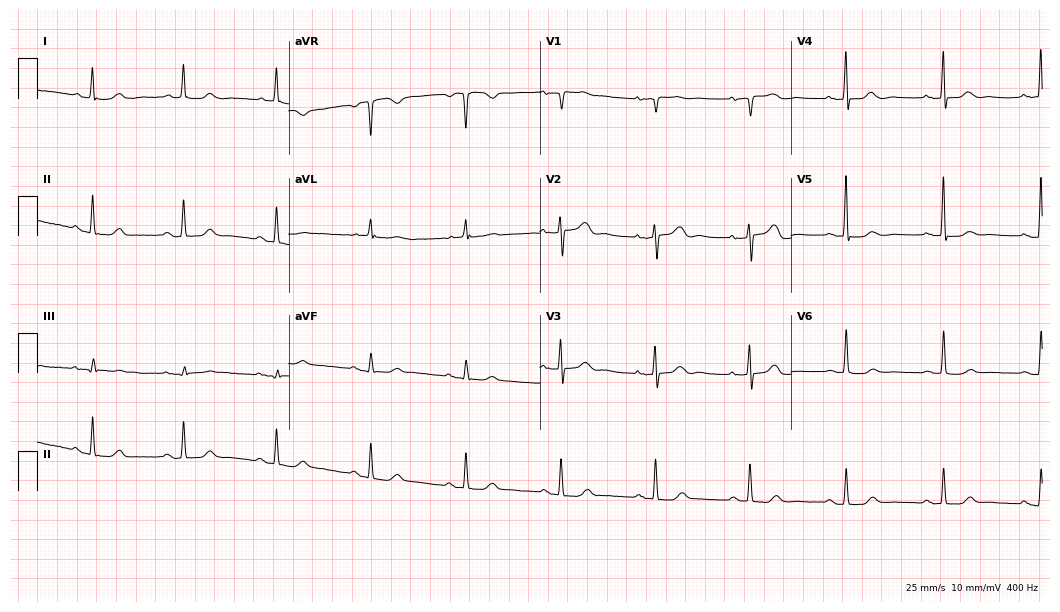
12-lead ECG from an 86-year-old female patient. Labelled as a normal ECG.